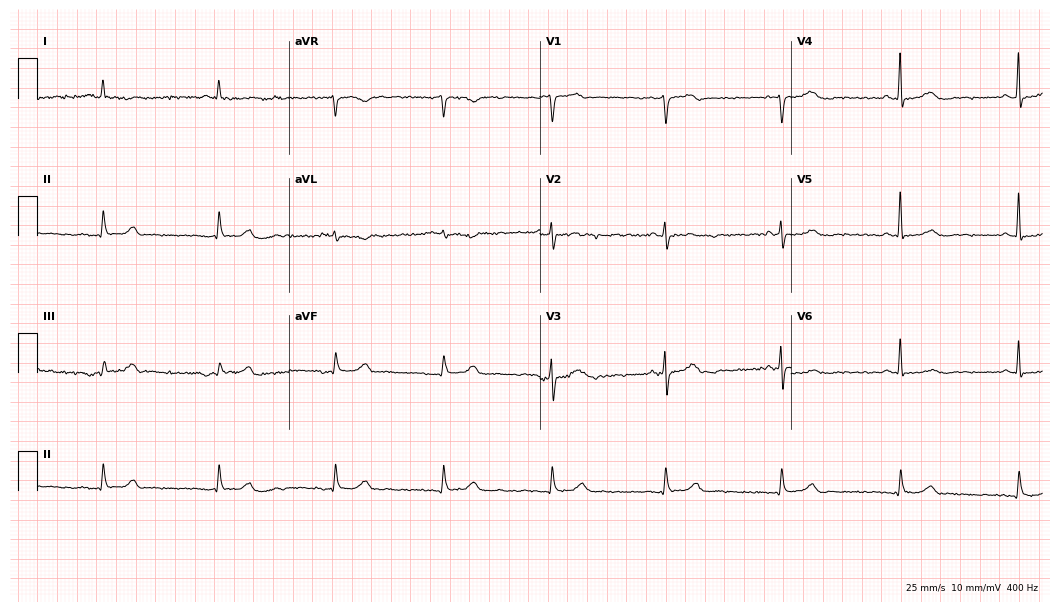
ECG — a male, 56 years old. Screened for six findings — first-degree AV block, right bundle branch block, left bundle branch block, sinus bradycardia, atrial fibrillation, sinus tachycardia — none is recorded. Findings outside these six are not listed.